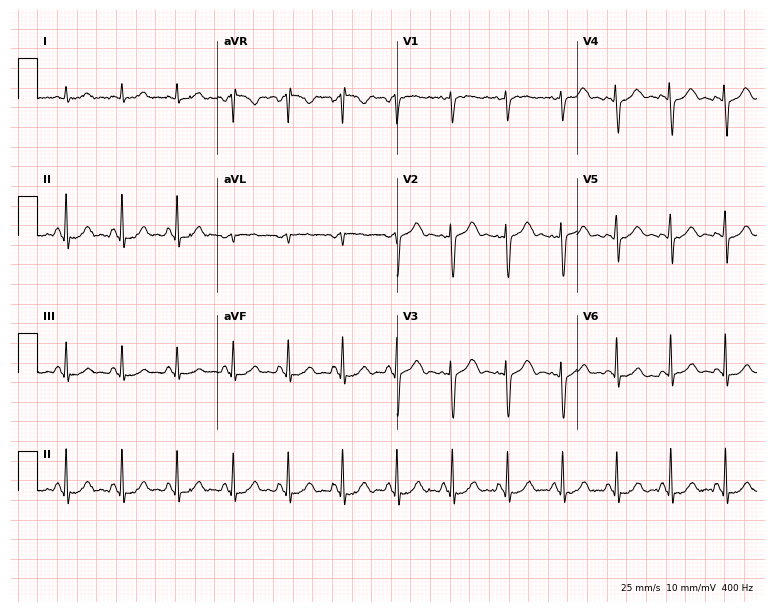
Electrocardiogram, a 29-year-old woman. Of the six screened findings (first-degree AV block, right bundle branch block, left bundle branch block, sinus bradycardia, atrial fibrillation, sinus tachycardia), none is recorded. Only these six findings were labelled.